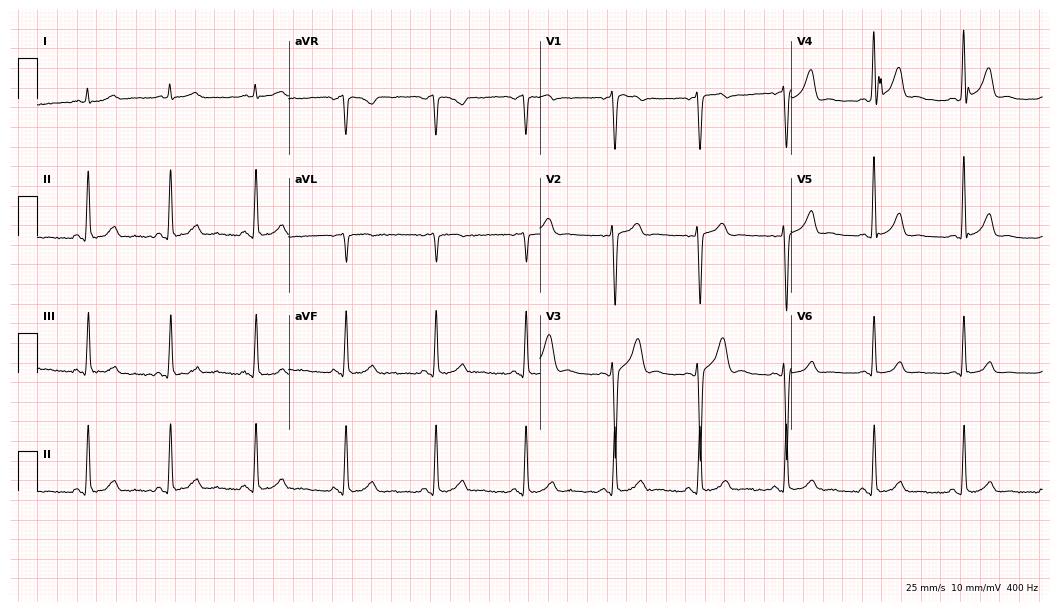
Standard 12-lead ECG recorded from a 34-year-old male. Read as a normal ECG.